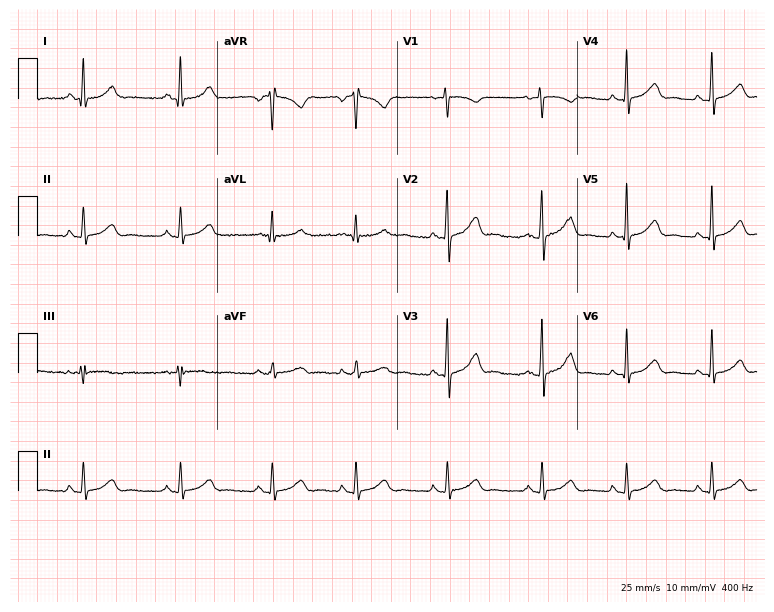
12-lead ECG from a 31-year-old female. Screened for six findings — first-degree AV block, right bundle branch block, left bundle branch block, sinus bradycardia, atrial fibrillation, sinus tachycardia — none is recorded. Other findings, if any, are not listed.